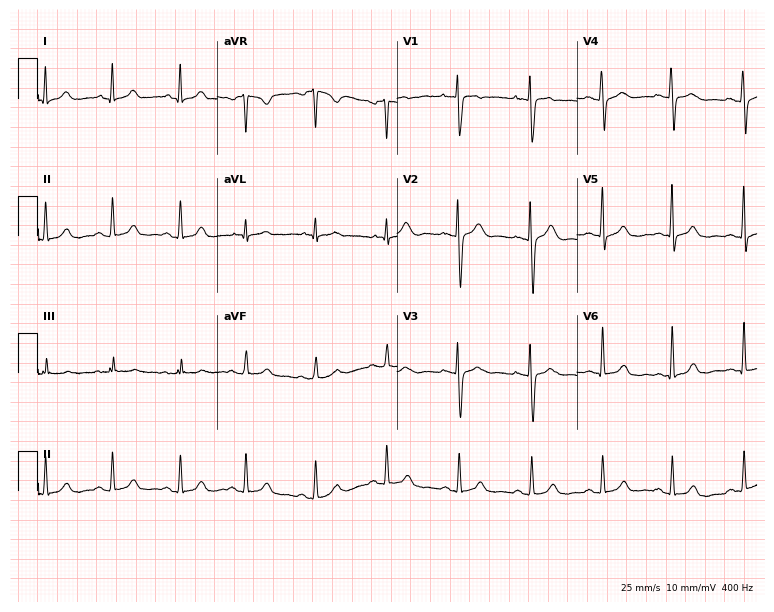
Electrocardiogram, a 34-year-old woman. Overall reading on record: normal ECG.